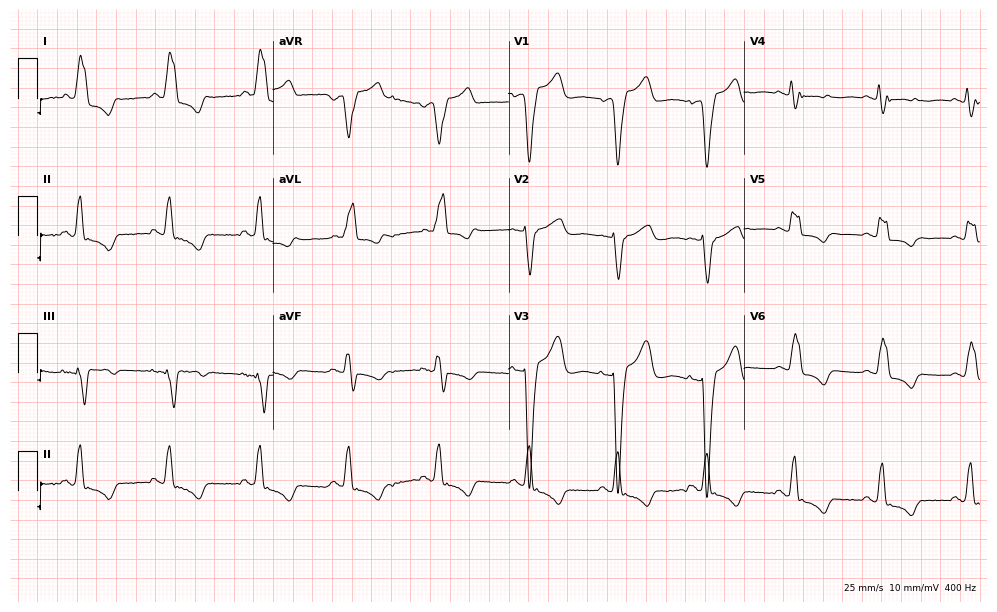
Standard 12-lead ECG recorded from a 66-year-old female patient (9.6-second recording at 400 Hz). The tracing shows left bundle branch block.